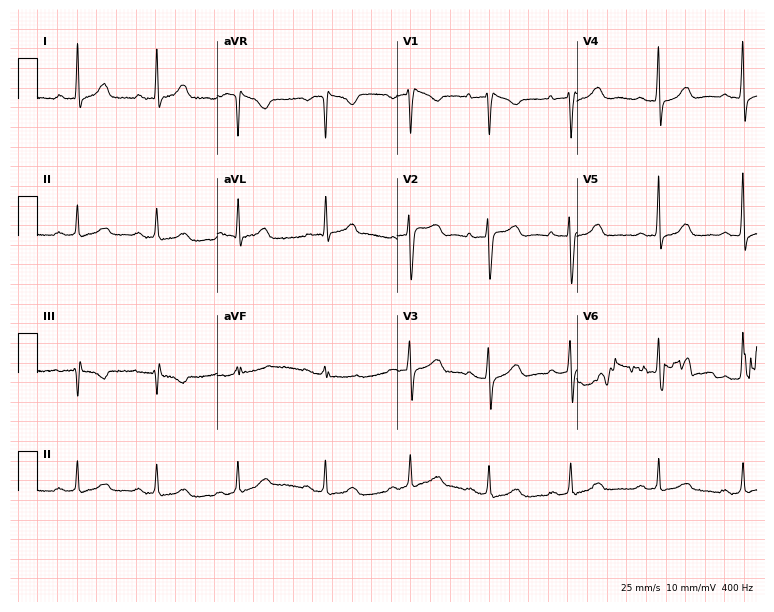
Standard 12-lead ECG recorded from a female patient, 68 years old (7.3-second recording at 400 Hz). Read as a normal ECG.